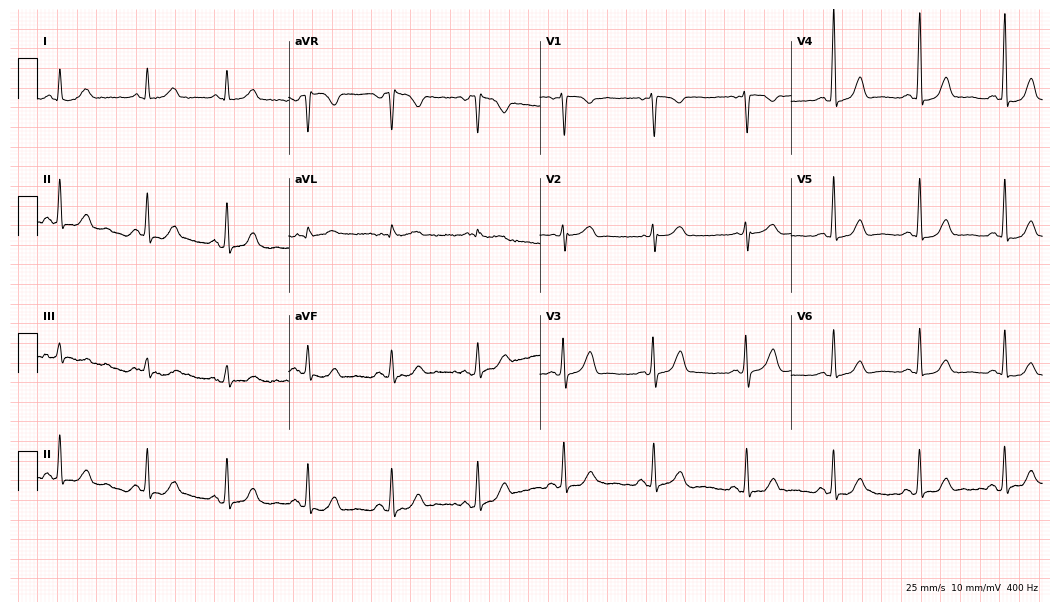
Resting 12-lead electrocardiogram (10.2-second recording at 400 Hz). Patient: a 49-year-old female. Read as a normal ECG.